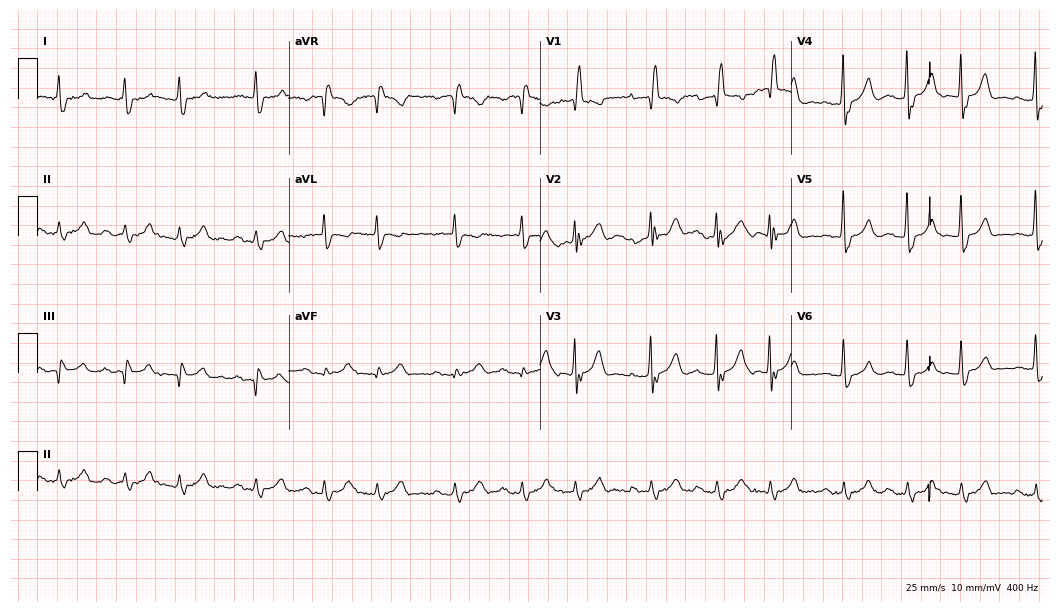
Standard 12-lead ECG recorded from an 82-year-old woman. The tracing shows right bundle branch block.